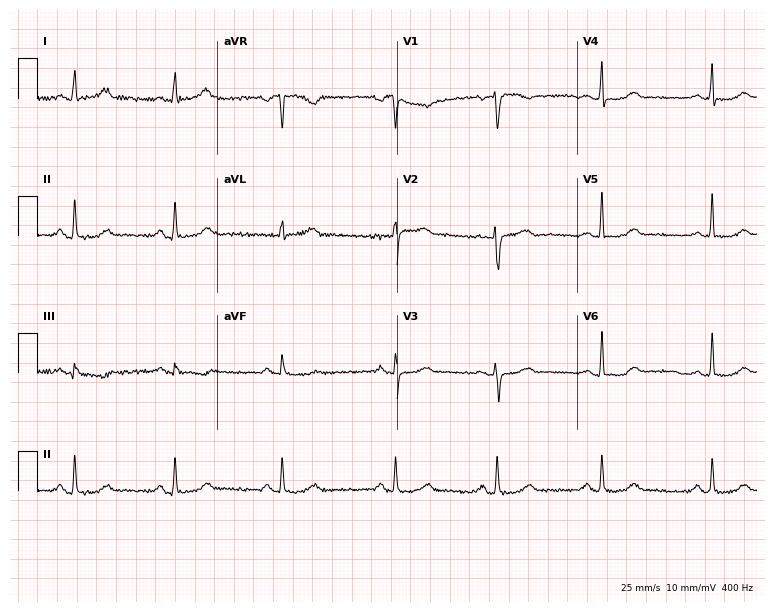
12-lead ECG from a female patient, 53 years old. Screened for six findings — first-degree AV block, right bundle branch block (RBBB), left bundle branch block (LBBB), sinus bradycardia, atrial fibrillation (AF), sinus tachycardia — none is recorded.